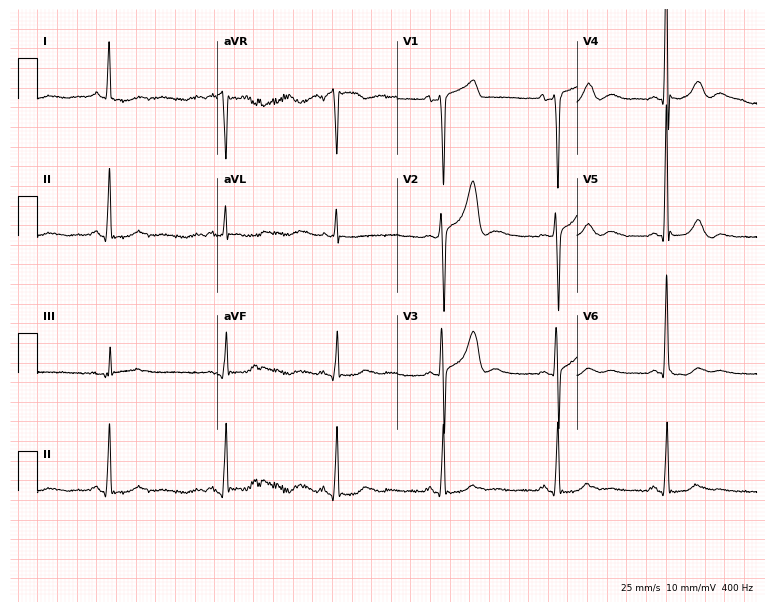
ECG — a 55-year-old male patient. Screened for six findings — first-degree AV block, right bundle branch block (RBBB), left bundle branch block (LBBB), sinus bradycardia, atrial fibrillation (AF), sinus tachycardia — none is recorded.